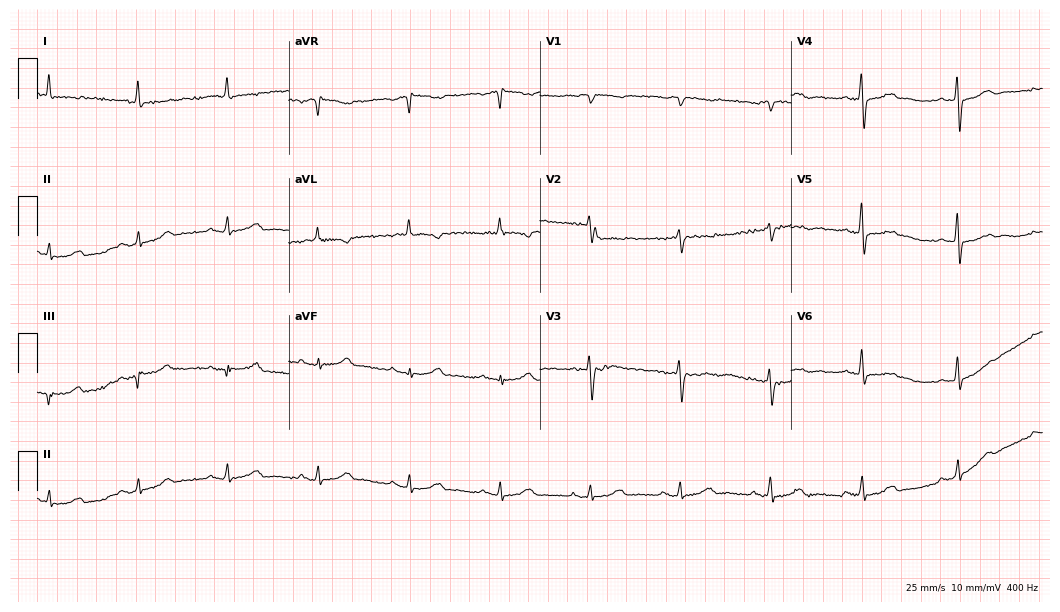
Electrocardiogram, a 67-year-old woman. Overall reading on record: normal ECG.